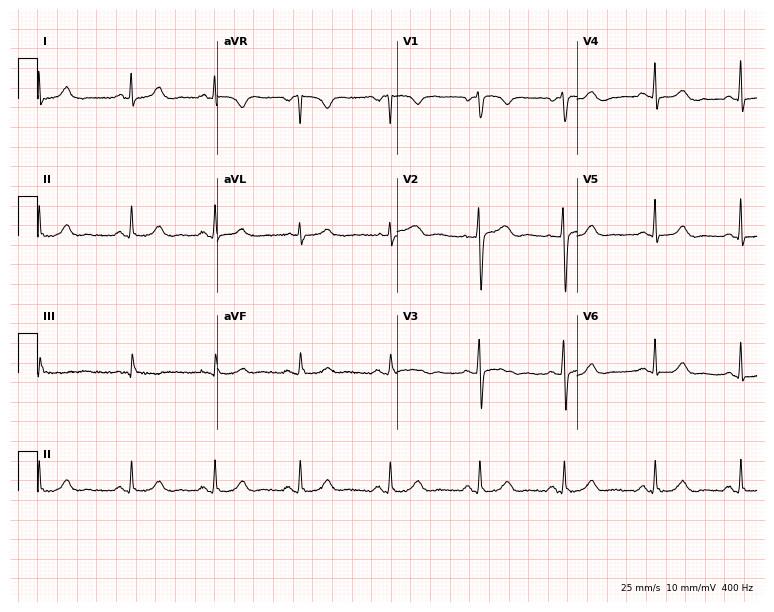
12-lead ECG (7.3-second recording at 400 Hz) from a 42-year-old woman. Labelled as a normal ECG.